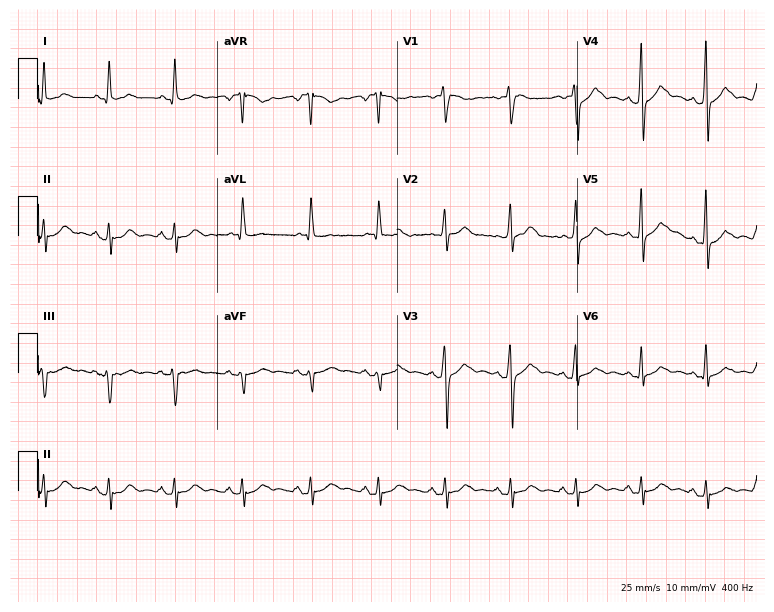
Standard 12-lead ECG recorded from a male, 51 years old. None of these six findings is recorded: first-degree AV block, right bundle branch block, left bundle branch block, sinus bradycardia, atrial fibrillation, sinus tachycardia. Other findings, if any, are not listed.